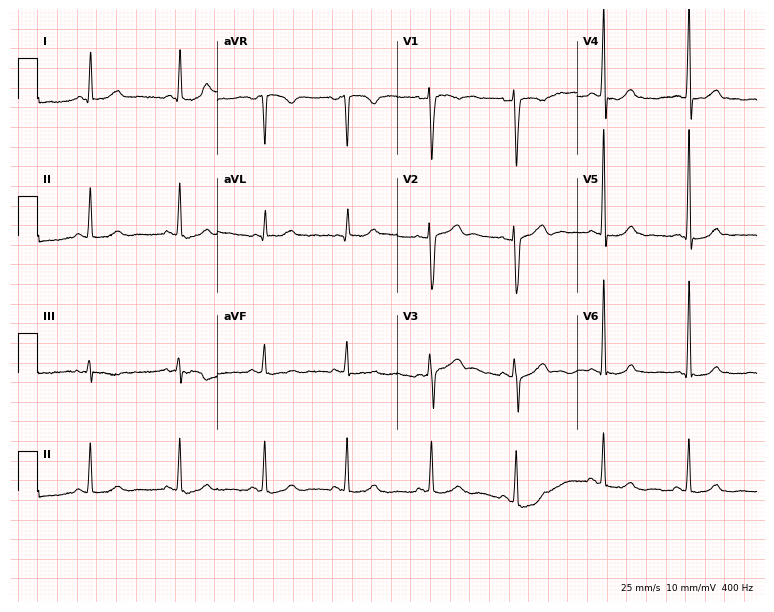
12-lead ECG (7.3-second recording at 400 Hz) from a 46-year-old female patient. Labelled as a normal ECG.